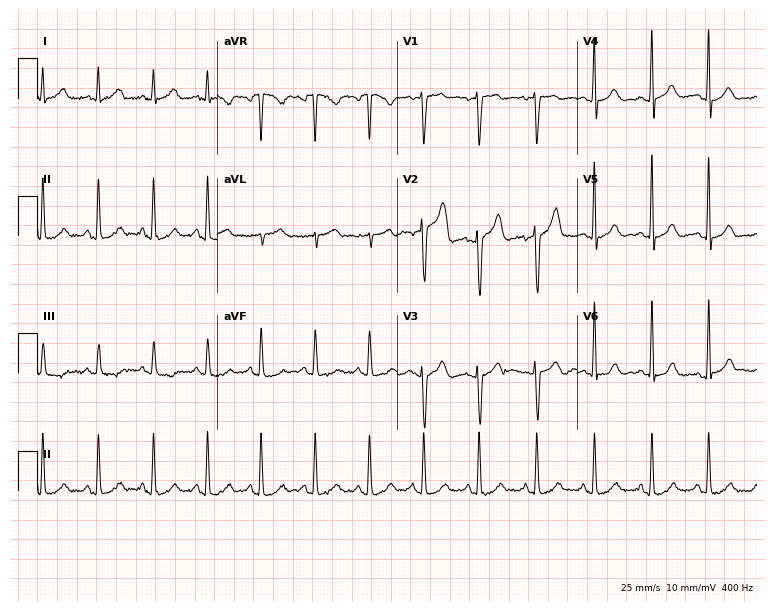
Electrocardiogram (7.3-second recording at 400 Hz), a female patient, 36 years old. Interpretation includes sinus tachycardia (a sinus rate of 100 beats per minute or more).